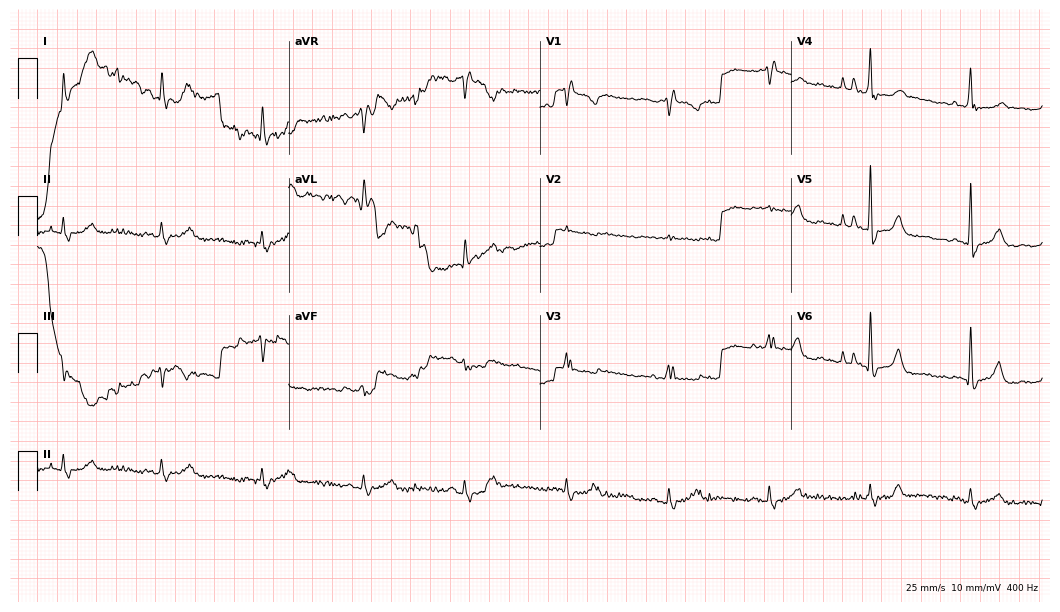
12-lead ECG from a male patient, 72 years old (10.2-second recording at 400 Hz). No first-degree AV block, right bundle branch block, left bundle branch block, sinus bradycardia, atrial fibrillation or sinus tachycardia recorded for this tracing.